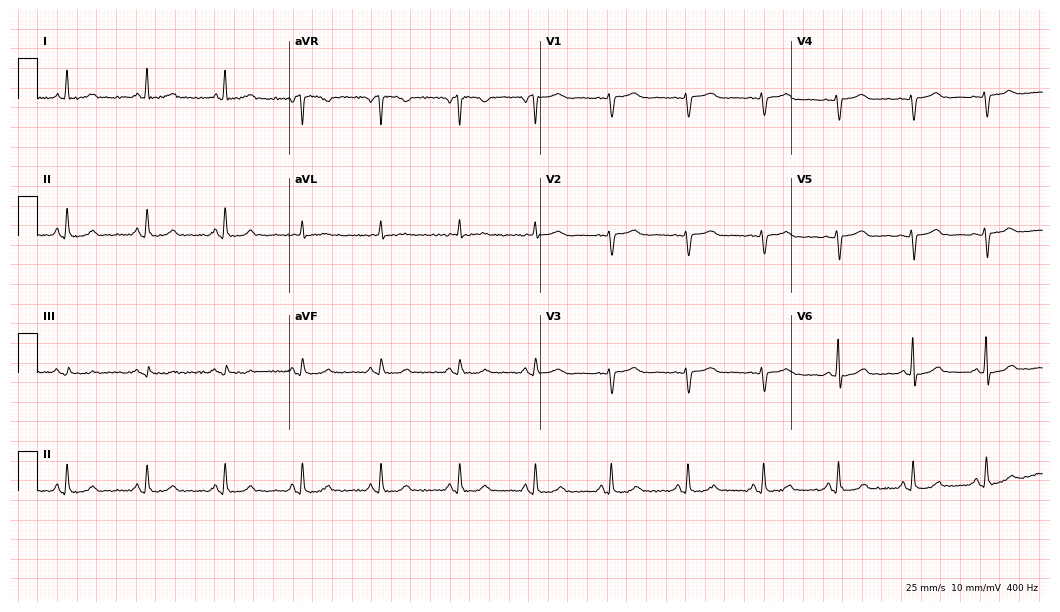
Standard 12-lead ECG recorded from a 60-year-old female patient. None of these six findings is recorded: first-degree AV block, right bundle branch block, left bundle branch block, sinus bradycardia, atrial fibrillation, sinus tachycardia.